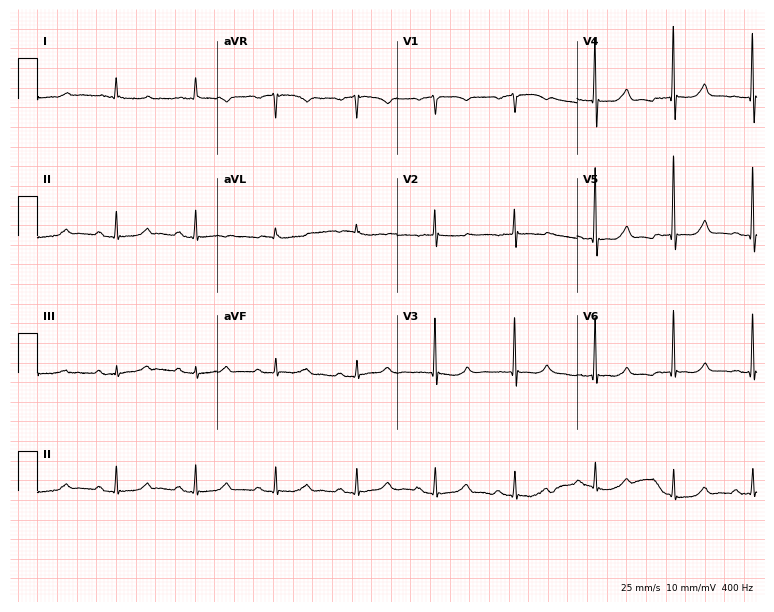
12-lead ECG from an 84-year-old female patient. No first-degree AV block, right bundle branch block, left bundle branch block, sinus bradycardia, atrial fibrillation or sinus tachycardia recorded for this tracing. Other findings, if any, are not listed.